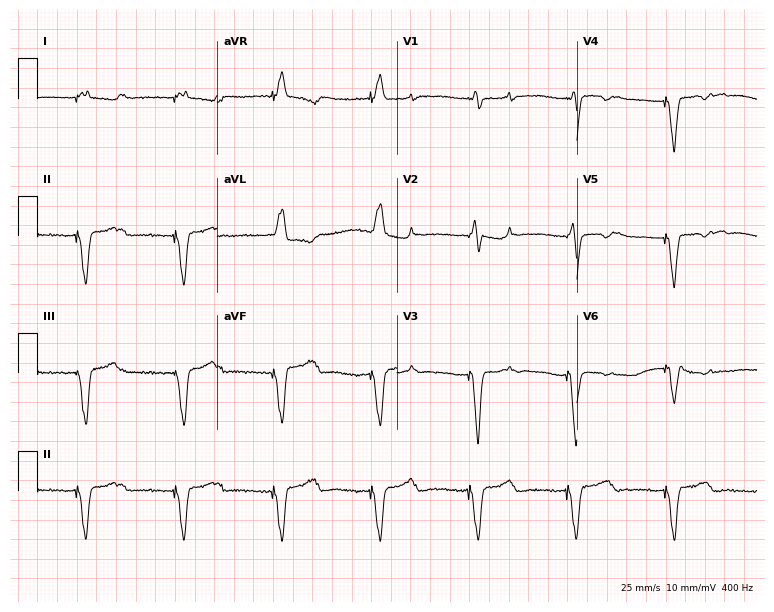
ECG (7.3-second recording at 400 Hz) — a female patient, 41 years old. Screened for six findings — first-degree AV block, right bundle branch block, left bundle branch block, sinus bradycardia, atrial fibrillation, sinus tachycardia — none is recorded. Findings outside these six are not listed.